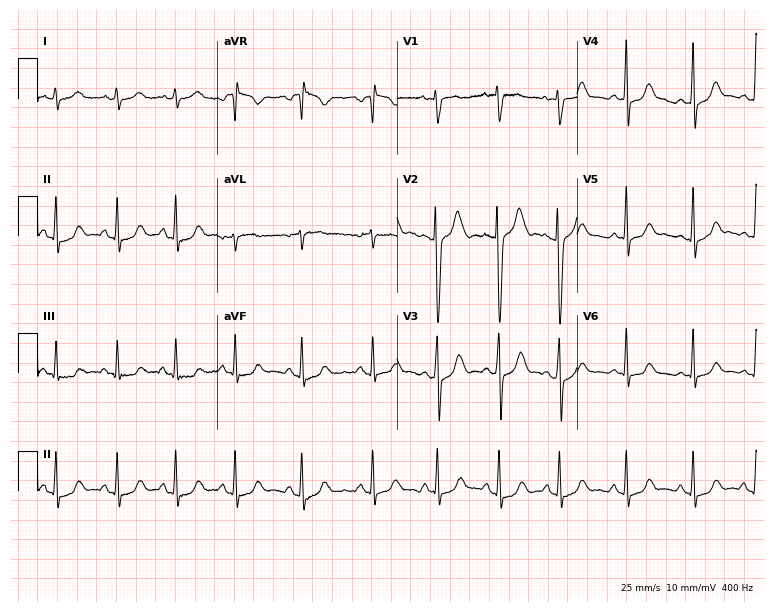
ECG (7.3-second recording at 400 Hz) — a 24-year-old female patient. Labelled as a normal ECG.